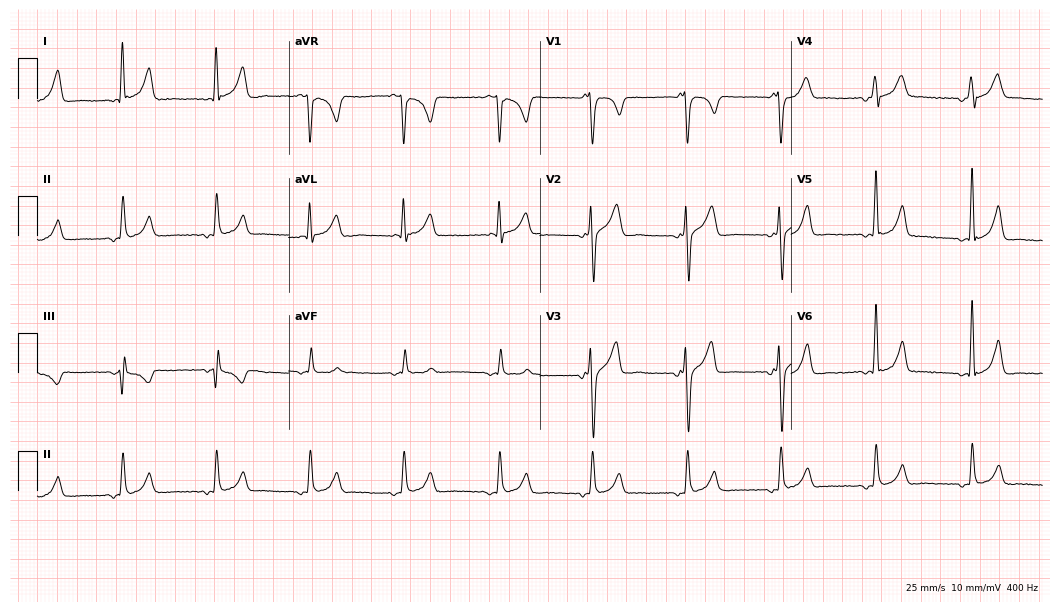
12-lead ECG from a man, 35 years old. Screened for six findings — first-degree AV block, right bundle branch block, left bundle branch block, sinus bradycardia, atrial fibrillation, sinus tachycardia — none is recorded. Only these six findings were labelled.